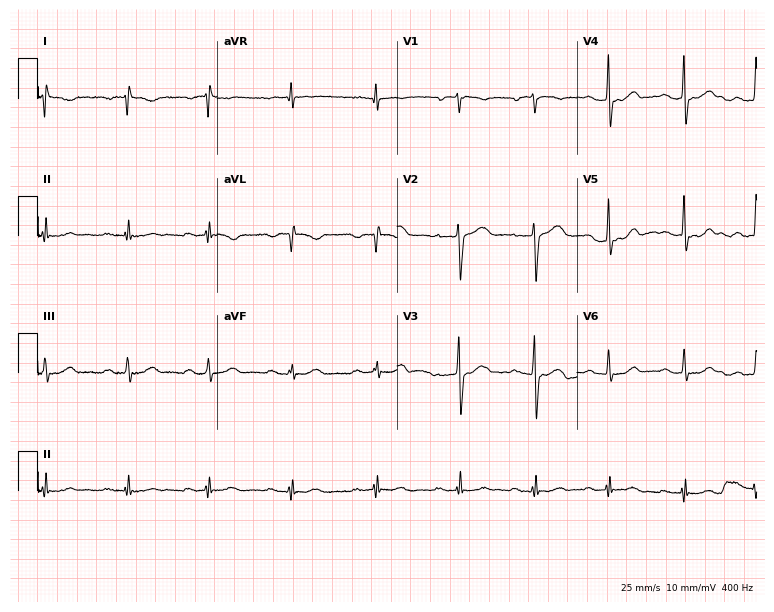
12-lead ECG from a man, 49 years old. No first-degree AV block, right bundle branch block (RBBB), left bundle branch block (LBBB), sinus bradycardia, atrial fibrillation (AF) or sinus tachycardia recorded for this tracing. Only these six findings were labelled.